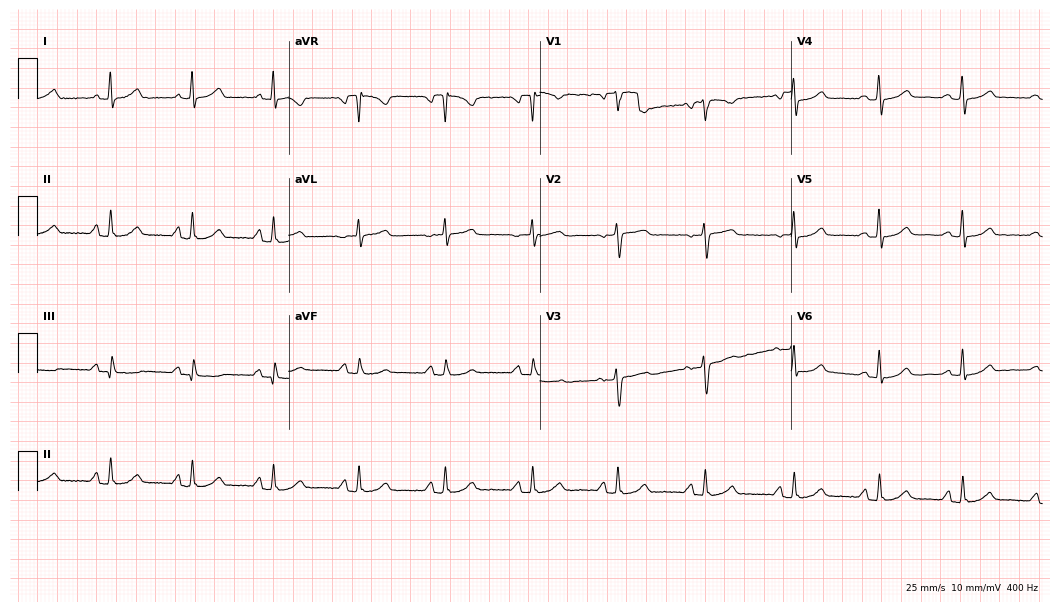
Electrocardiogram (10.2-second recording at 400 Hz), a 52-year-old woman. Overall reading on record: normal ECG.